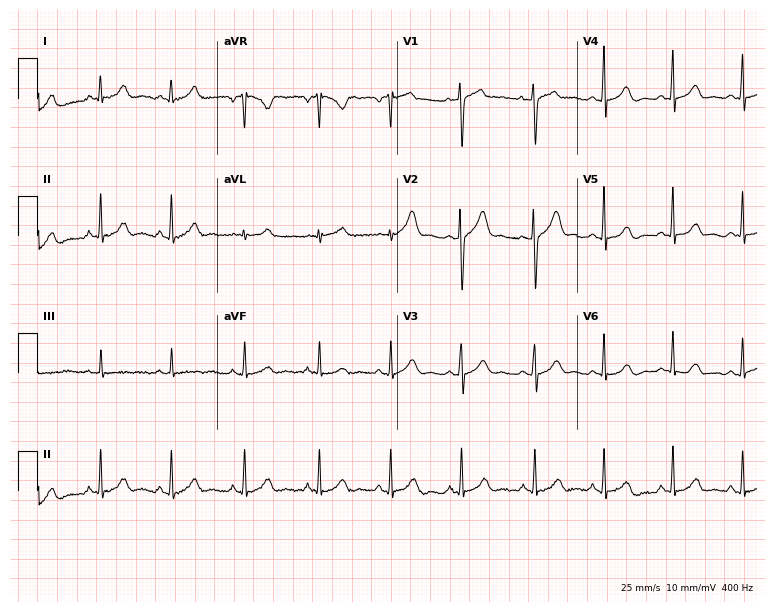
ECG — a female, 28 years old. Labelled as a normal ECG.